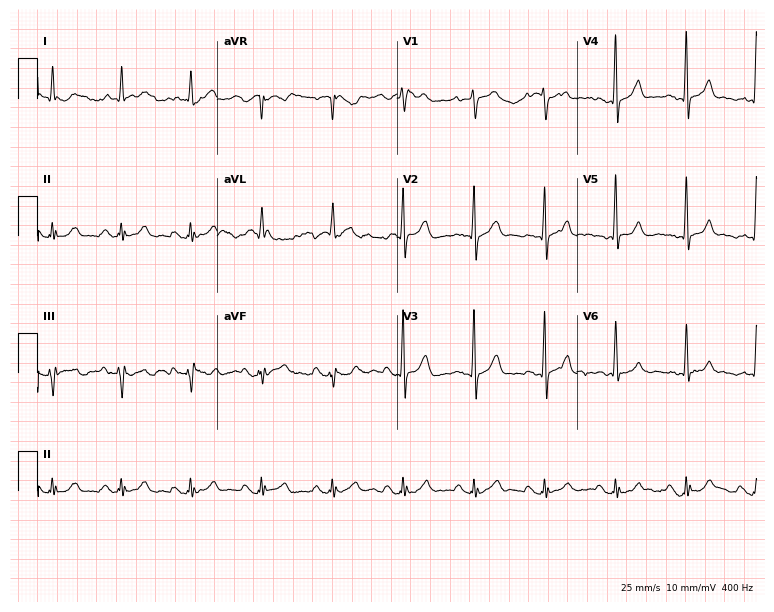
Electrocardiogram, a 72-year-old man. Overall reading on record: normal ECG.